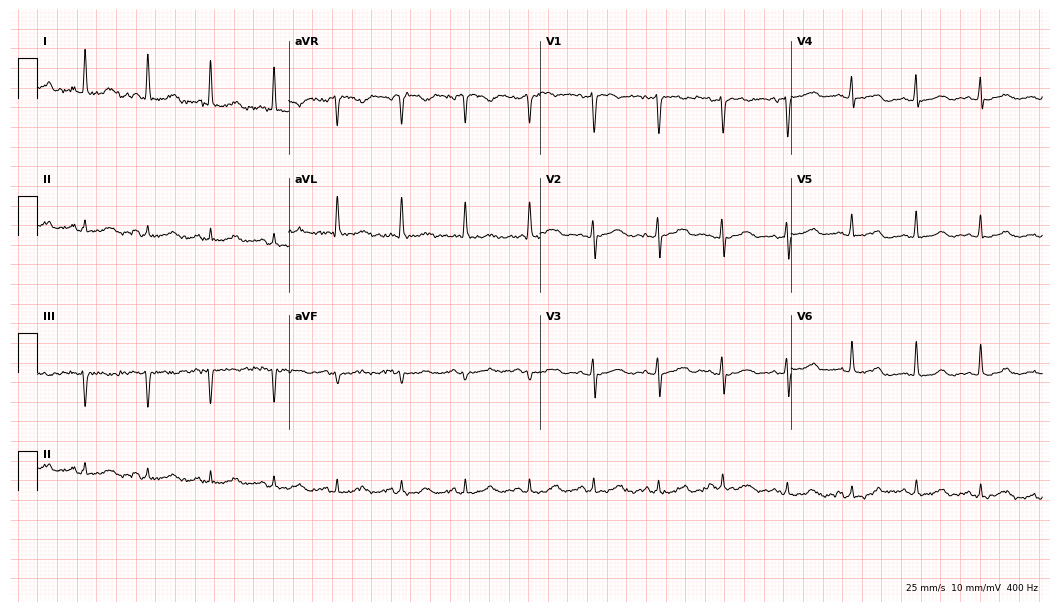
Electrocardiogram, a female, 62 years old. Overall reading on record: normal ECG.